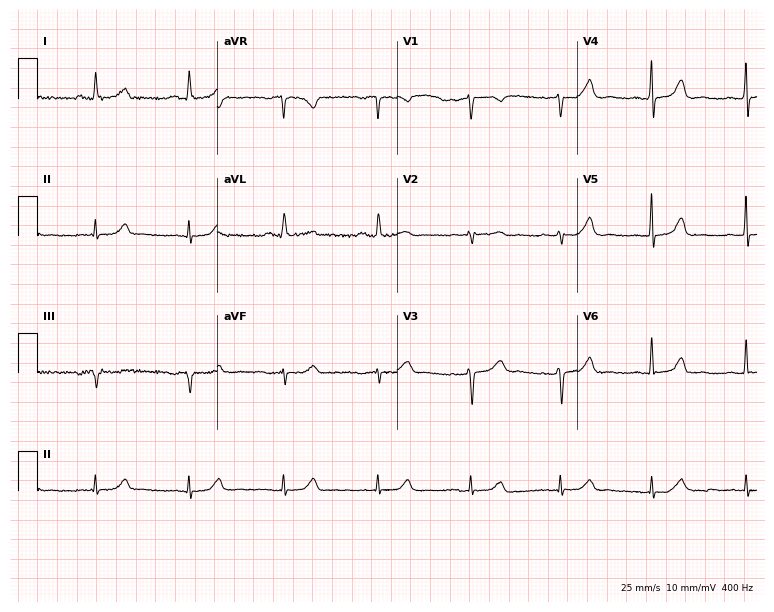
Standard 12-lead ECG recorded from a female, 65 years old. Read as a normal ECG.